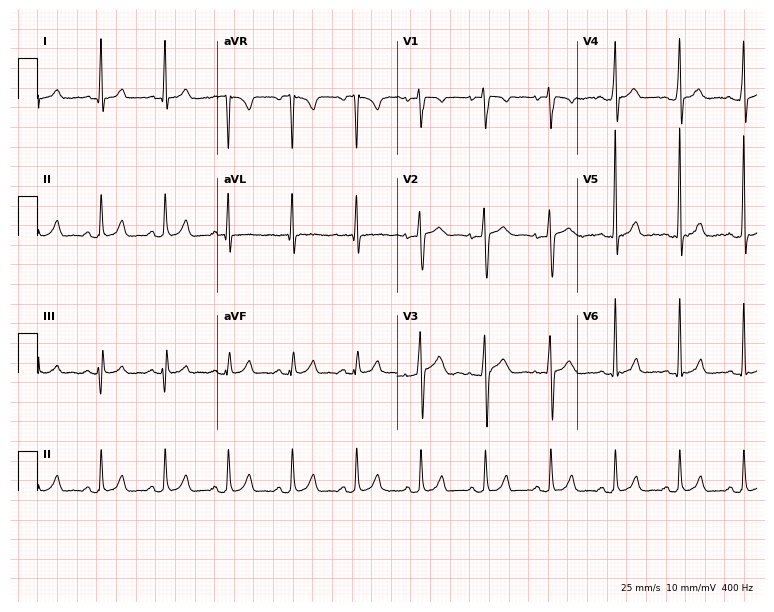
Resting 12-lead electrocardiogram (7.3-second recording at 400 Hz). Patient: a male, 28 years old. Read as a normal ECG.